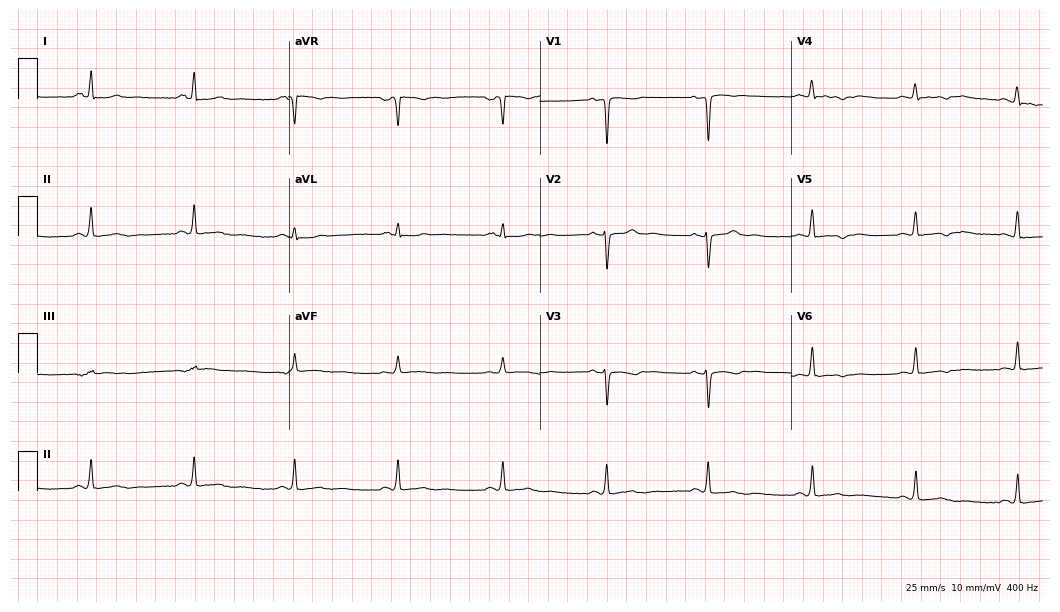
Resting 12-lead electrocardiogram. Patient: a man, 46 years old. None of these six findings is recorded: first-degree AV block, right bundle branch block, left bundle branch block, sinus bradycardia, atrial fibrillation, sinus tachycardia.